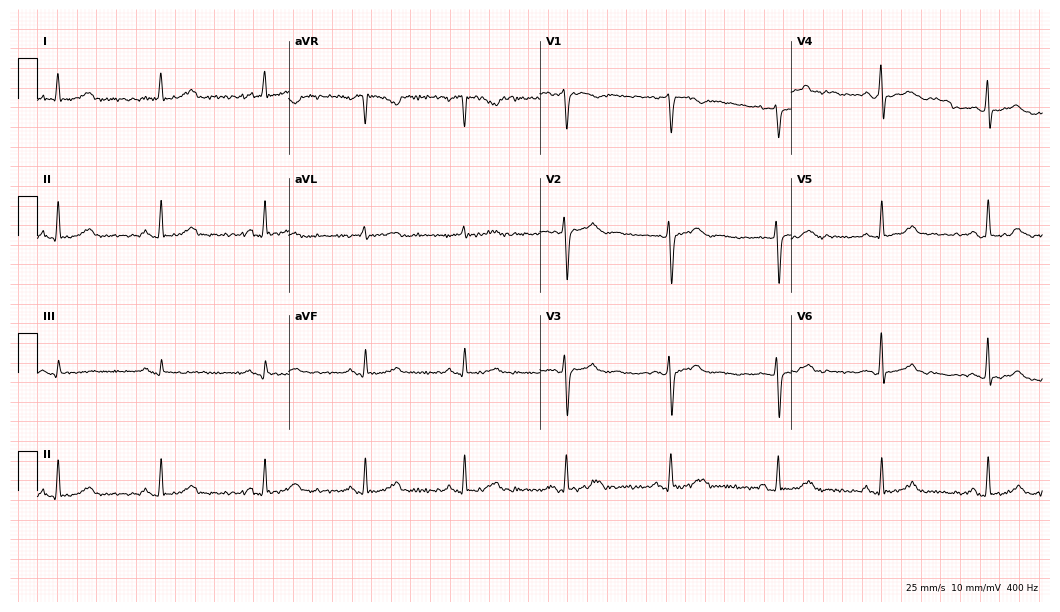
12-lead ECG (10.2-second recording at 400 Hz) from a female, 46 years old. Screened for six findings — first-degree AV block, right bundle branch block (RBBB), left bundle branch block (LBBB), sinus bradycardia, atrial fibrillation (AF), sinus tachycardia — none is recorded.